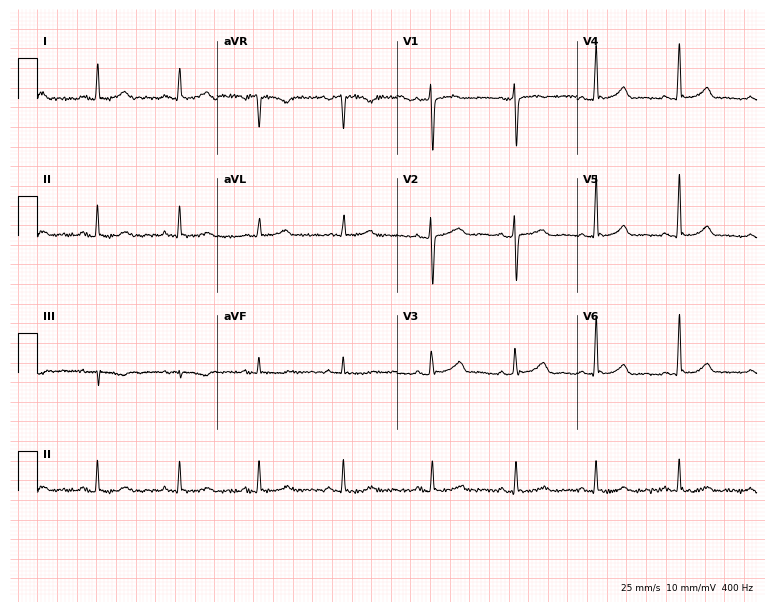
12-lead ECG (7.3-second recording at 400 Hz) from a female, 43 years old. Labelled as a normal ECG.